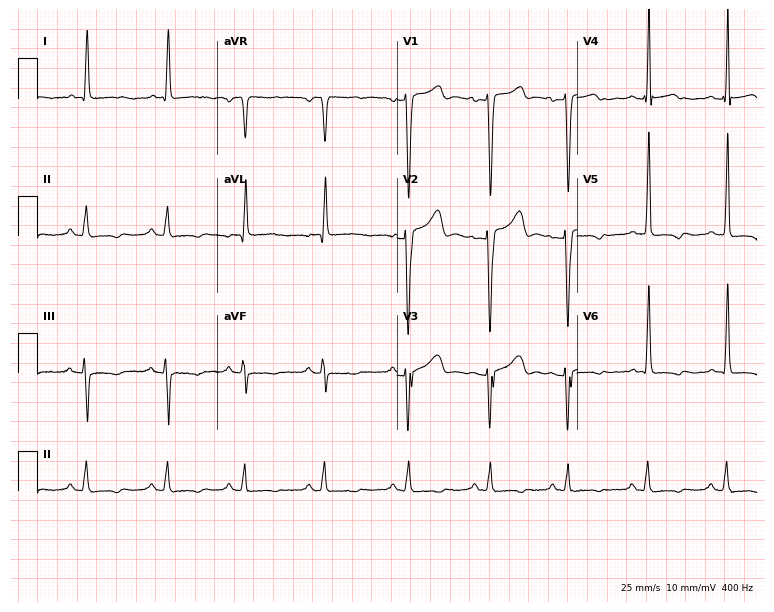
12-lead ECG from a 41-year-old female patient. No first-degree AV block, right bundle branch block, left bundle branch block, sinus bradycardia, atrial fibrillation or sinus tachycardia recorded for this tracing. Only these six findings were labelled.